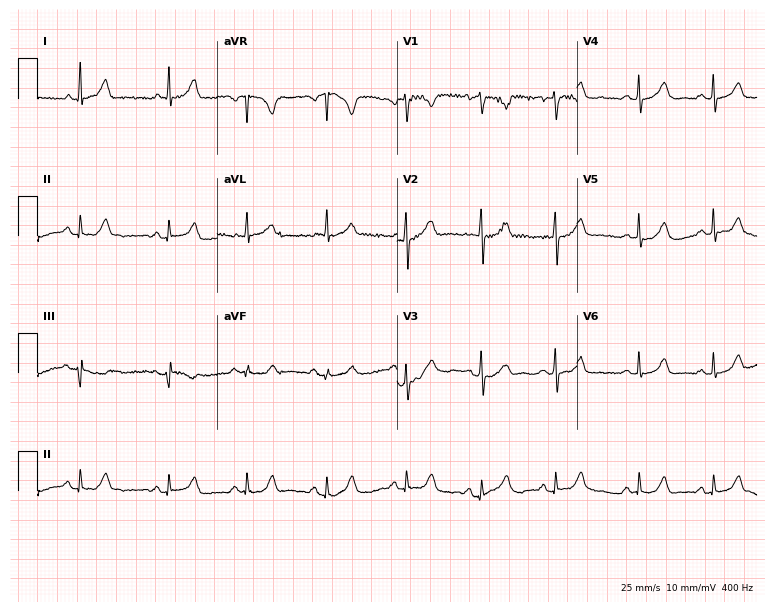
Resting 12-lead electrocardiogram (7.3-second recording at 400 Hz). Patient: a woman, 23 years old. Read as a normal ECG.